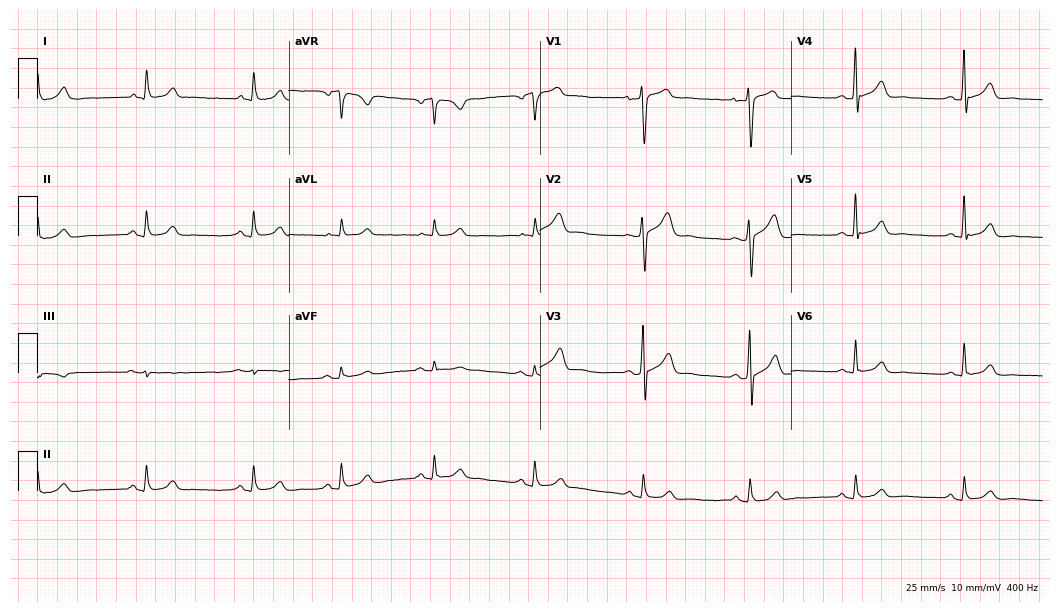
Electrocardiogram, a man, 72 years old. Overall reading on record: normal ECG.